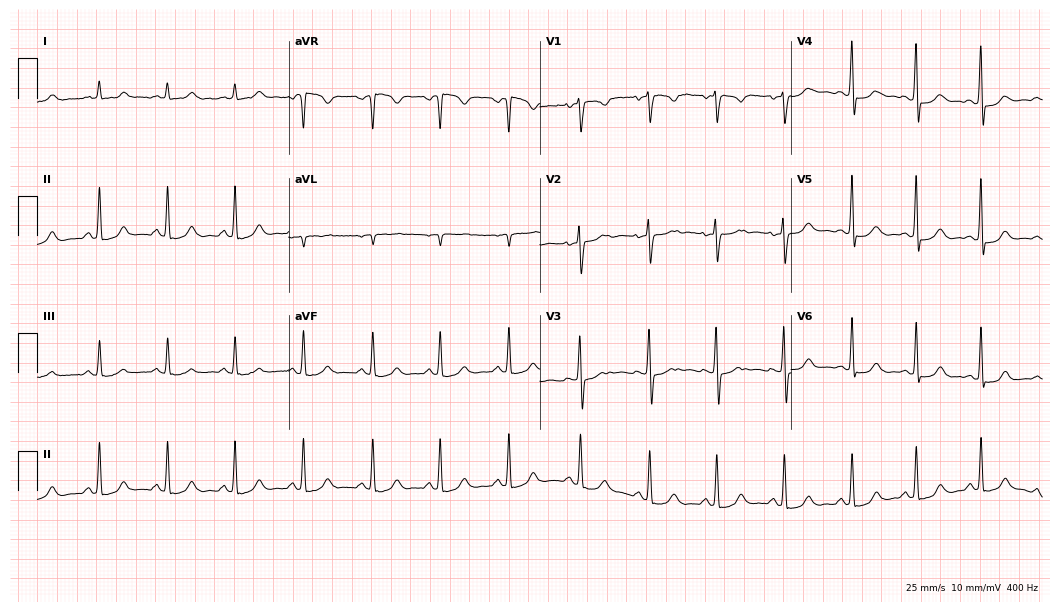
ECG — a woman, 27 years old. Labelled as a normal ECG.